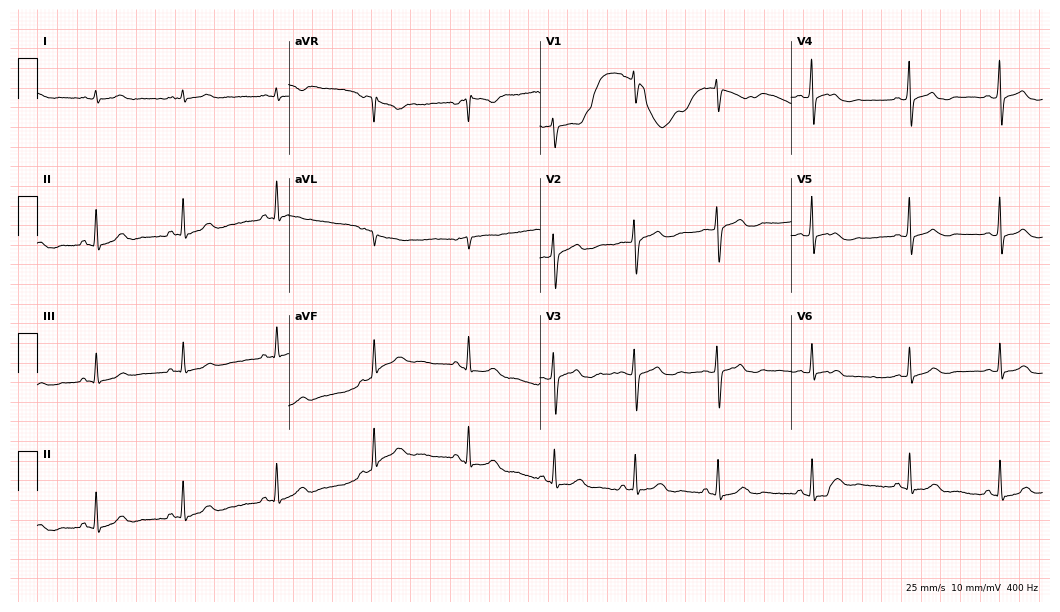
12-lead ECG from a woman, 39 years old (10.2-second recording at 400 Hz). Recorded interpretation: within normal limits.